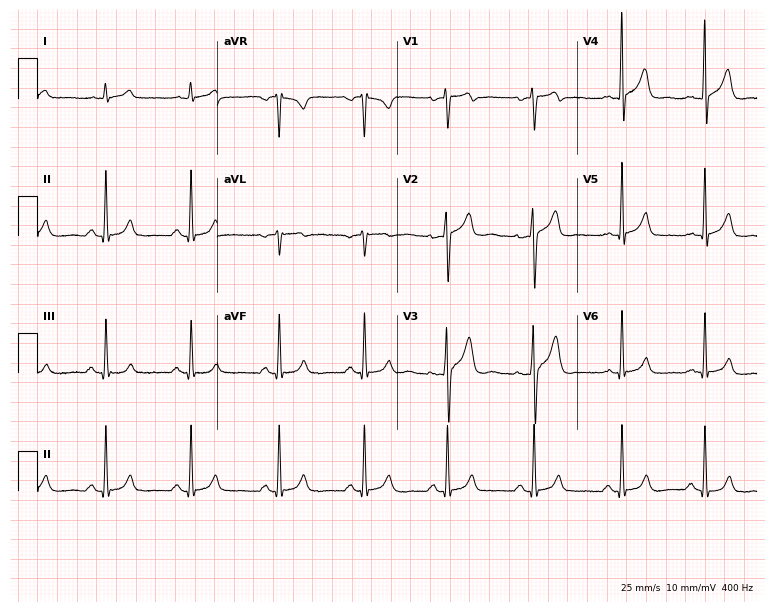
12-lead ECG (7.3-second recording at 400 Hz) from a male patient, 33 years old. Labelled as a normal ECG.